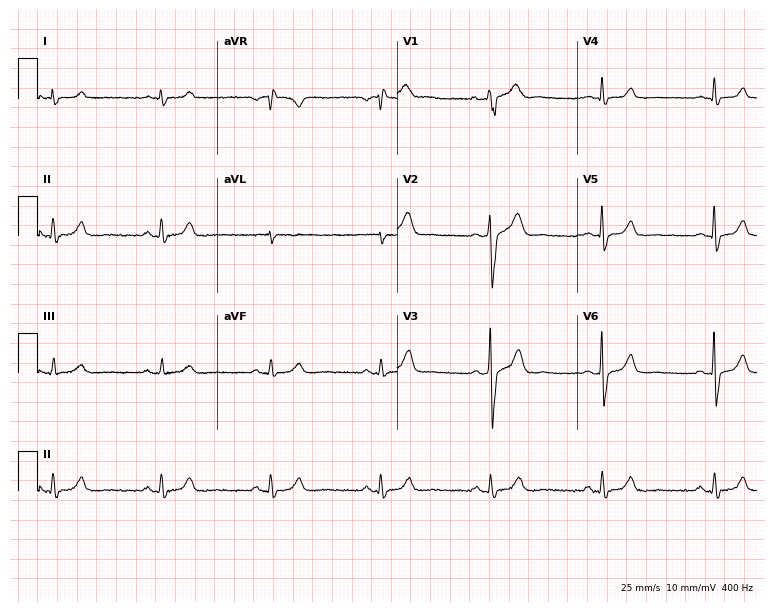
Electrocardiogram (7.3-second recording at 400 Hz), a male patient, 48 years old. Overall reading on record: normal ECG.